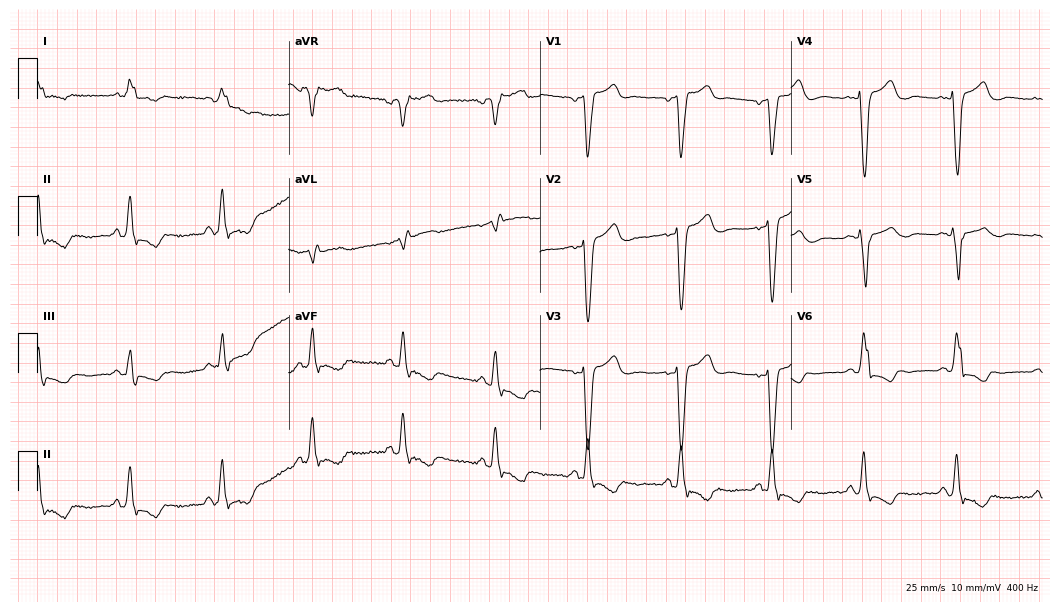
12-lead ECG from a female patient, 77 years old (10.2-second recording at 400 Hz). Shows left bundle branch block.